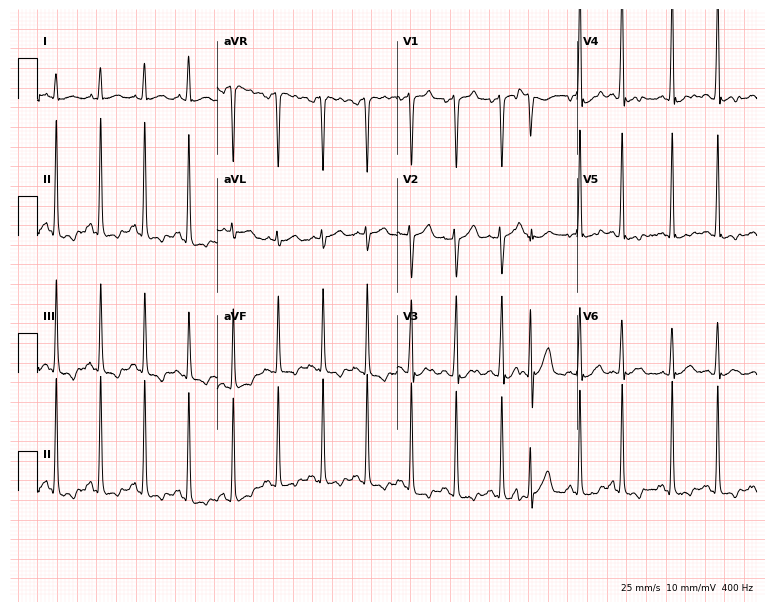
Resting 12-lead electrocardiogram (7.3-second recording at 400 Hz). Patient: a female, 28 years old. The tracing shows sinus tachycardia (a sinus rate of 100 beats per minute or more).